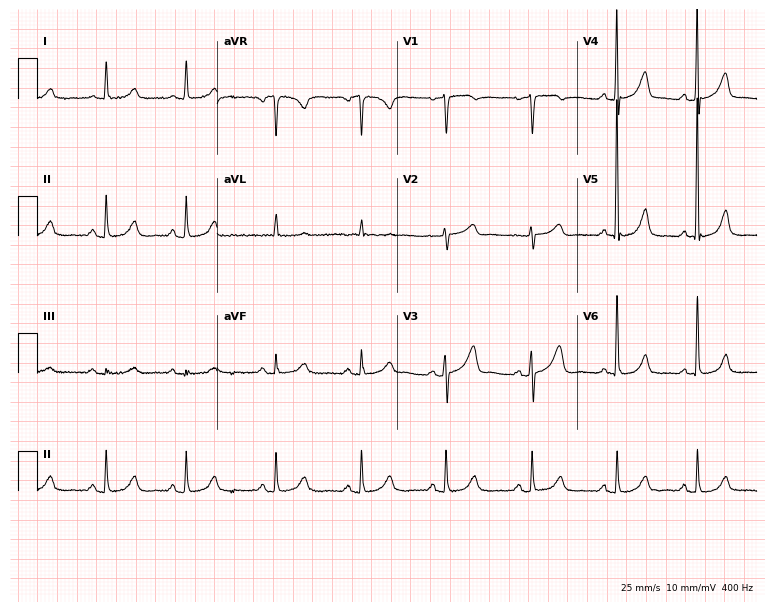
12-lead ECG (7.3-second recording at 400 Hz) from an 83-year-old female. Screened for six findings — first-degree AV block, right bundle branch block, left bundle branch block, sinus bradycardia, atrial fibrillation, sinus tachycardia — none is recorded. Other findings, if any, are not listed.